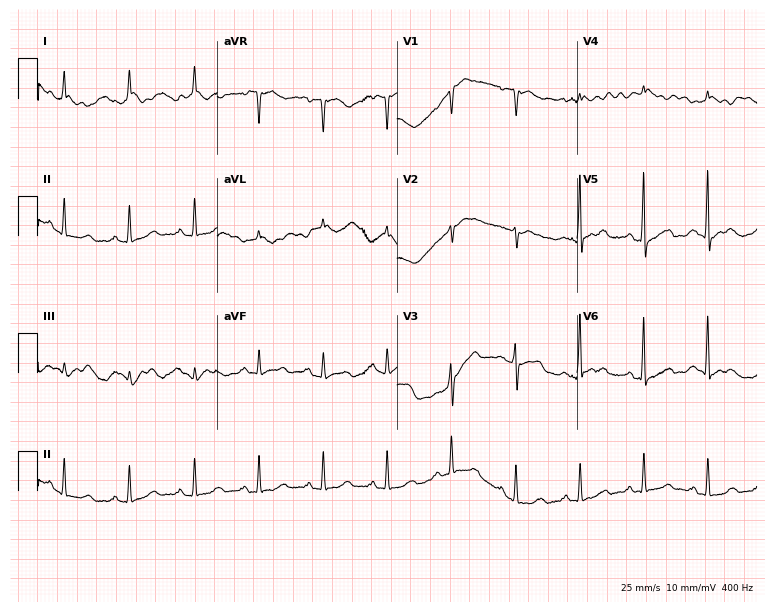
12-lead ECG from a woman, 60 years old (7.3-second recording at 400 Hz). No first-degree AV block, right bundle branch block, left bundle branch block, sinus bradycardia, atrial fibrillation or sinus tachycardia recorded for this tracing. Findings outside these six are not listed.